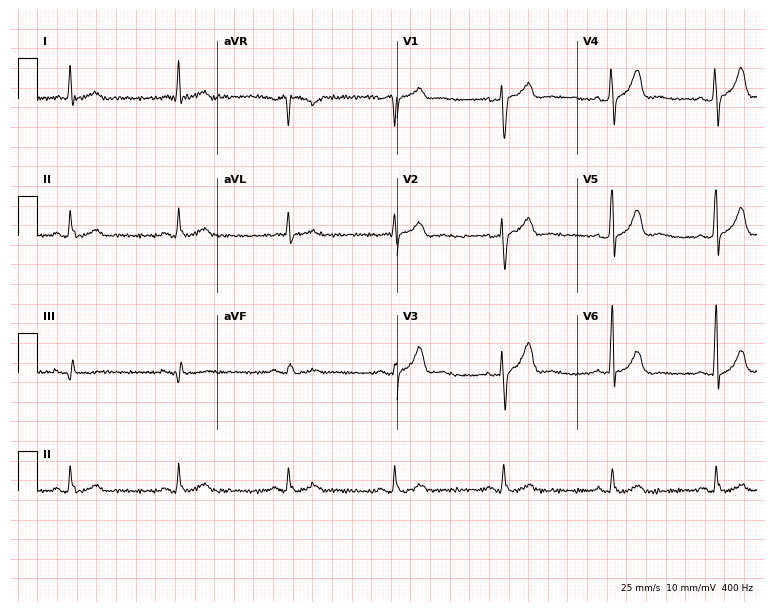
Resting 12-lead electrocardiogram (7.3-second recording at 400 Hz). Patient: a 47-year-old male. Read as a normal ECG.